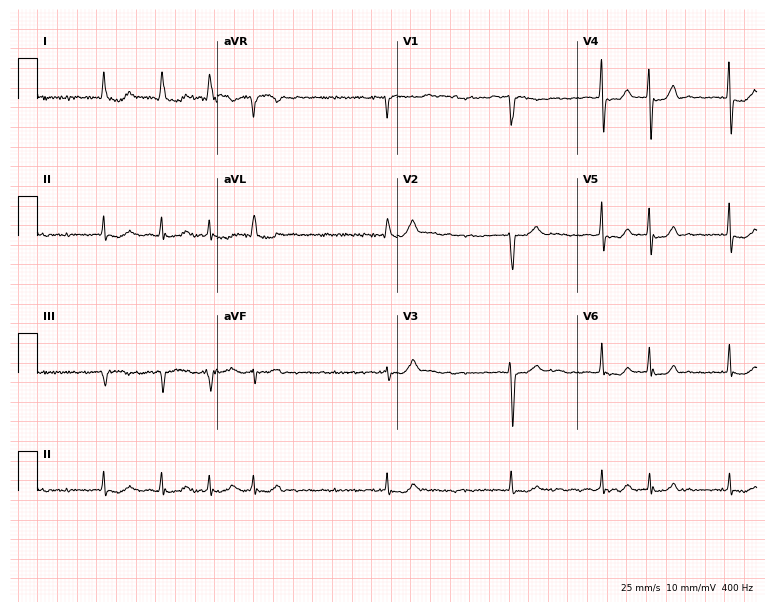
Resting 12-lead electrocardiogram. Patient: a 68-year-old man. The tracing shows atrial fibrillation.